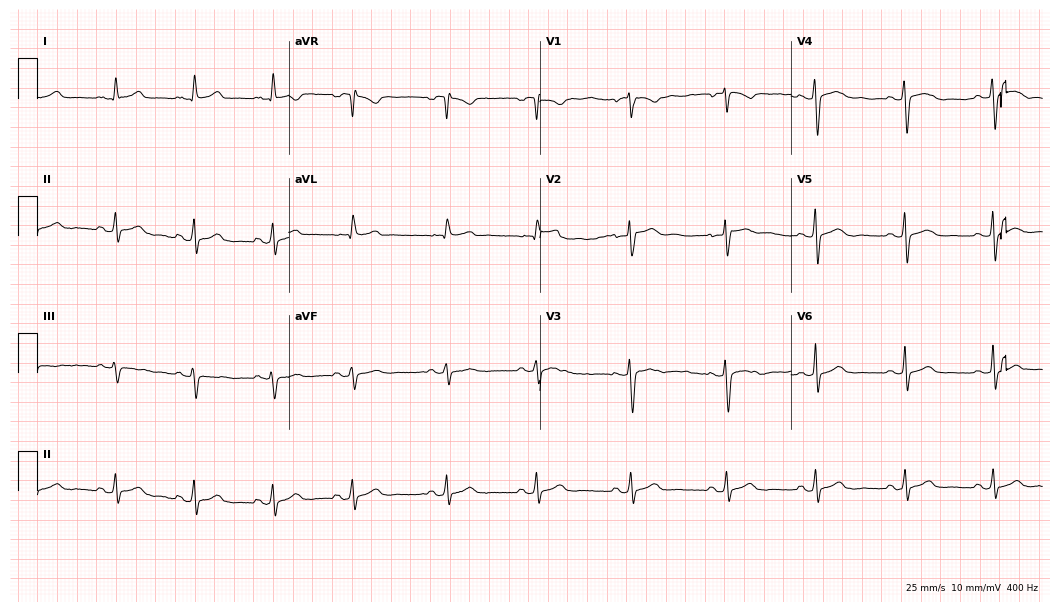
Electrocardiogram (10.2-second recording at 400 Hz), a female patient, 29 years old. Overall reading on record: normal ECG.